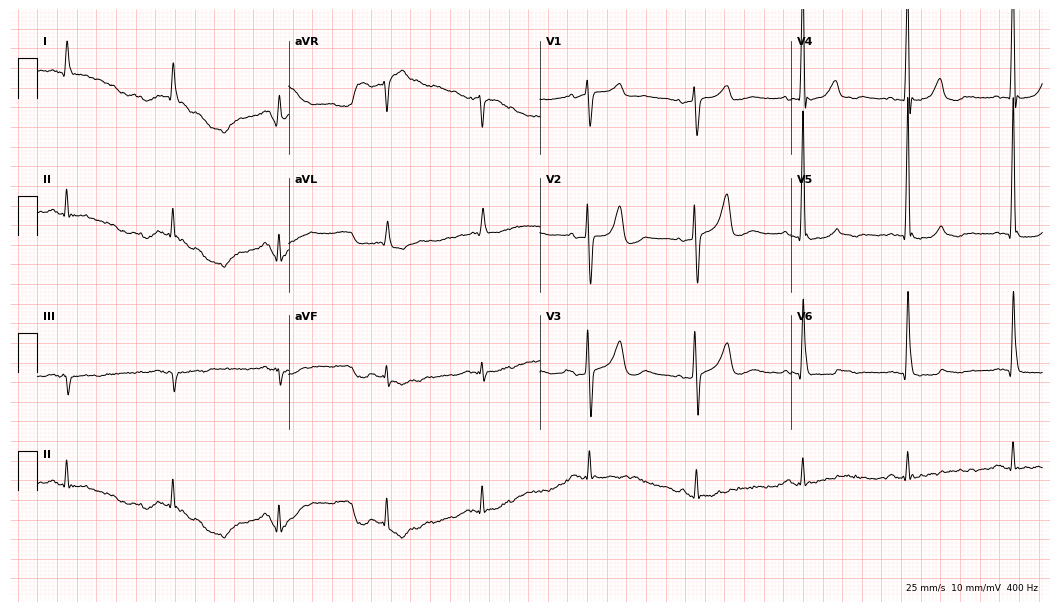
Standard 12-lead ECG recorded from an 85-year-old male (10.2-second recording at 400 Hz). Read as a normal ECG.